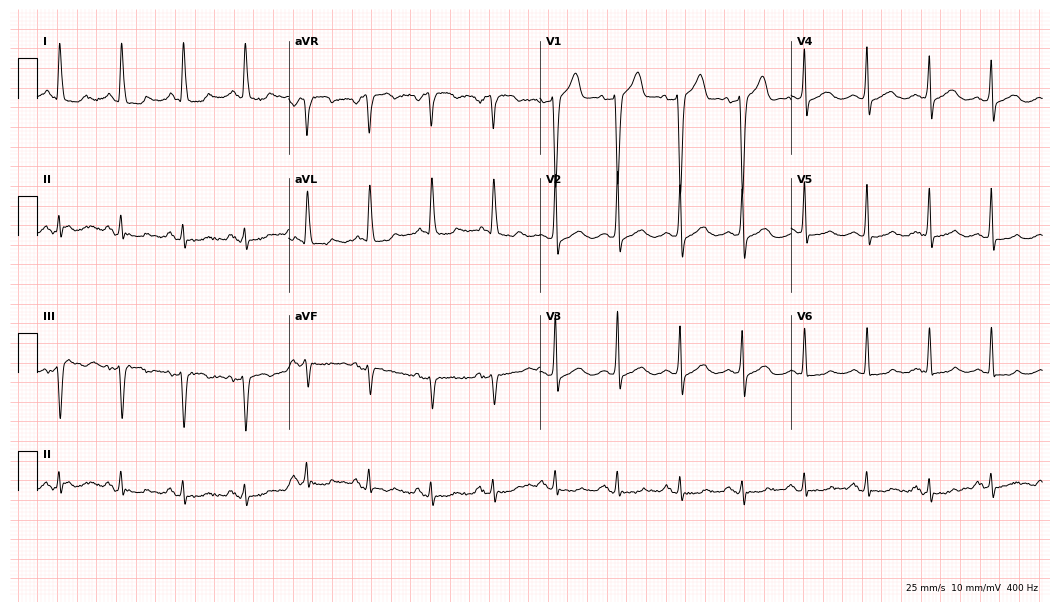
12-lead ECG from a 76-year-old male patient (10.2-second recording at 400 Hz). Recorded interpretation: within normal limits.